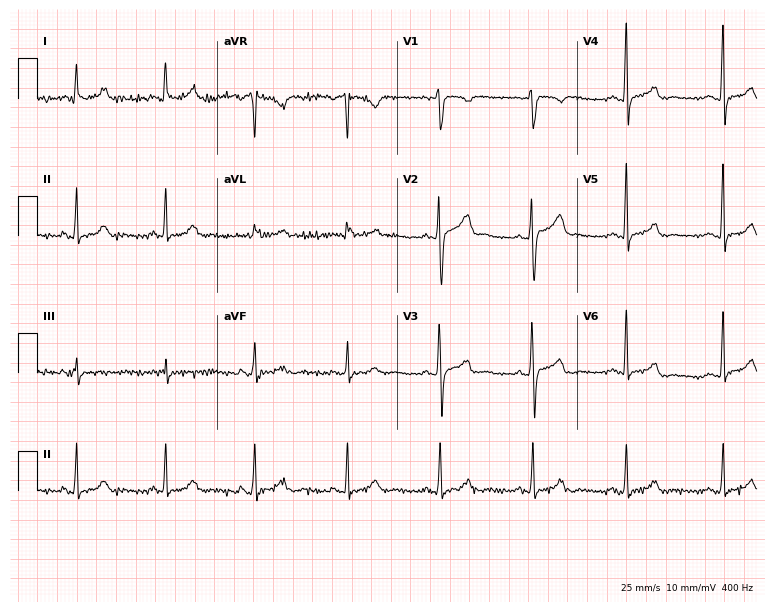
12-lead ECG from a woman, 46 years old. Labelled as a normal ECG.